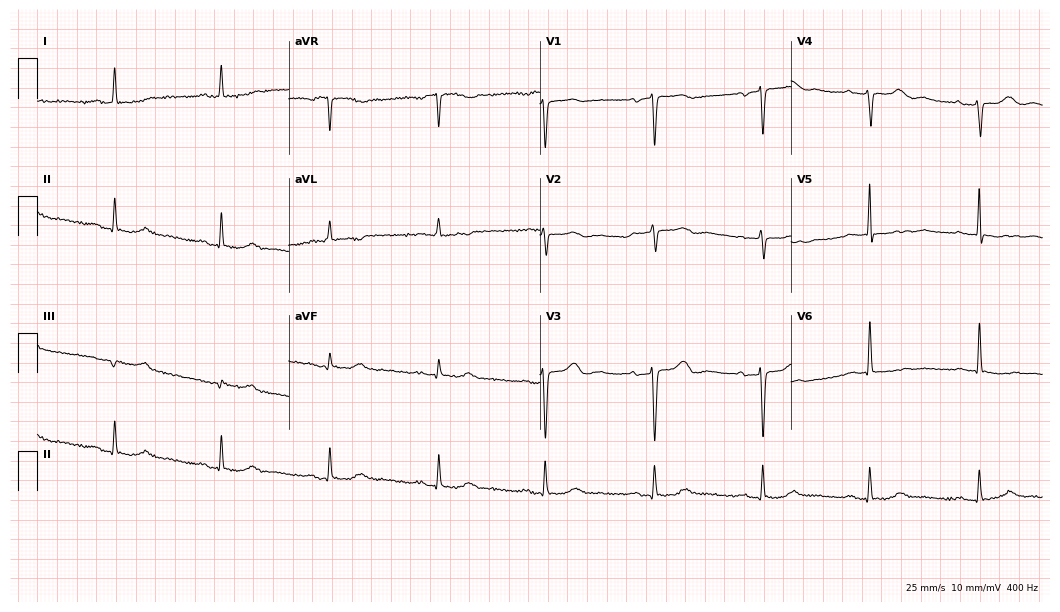
12-lead ECG from a woman, 68 years old. No first-degree AV block, right bundle branch block (RBBB), left bundle branch block (LBBB), sinus bradycardia, atrial fibrillation (AF) or sinus tachycardia recorded for this tracing.